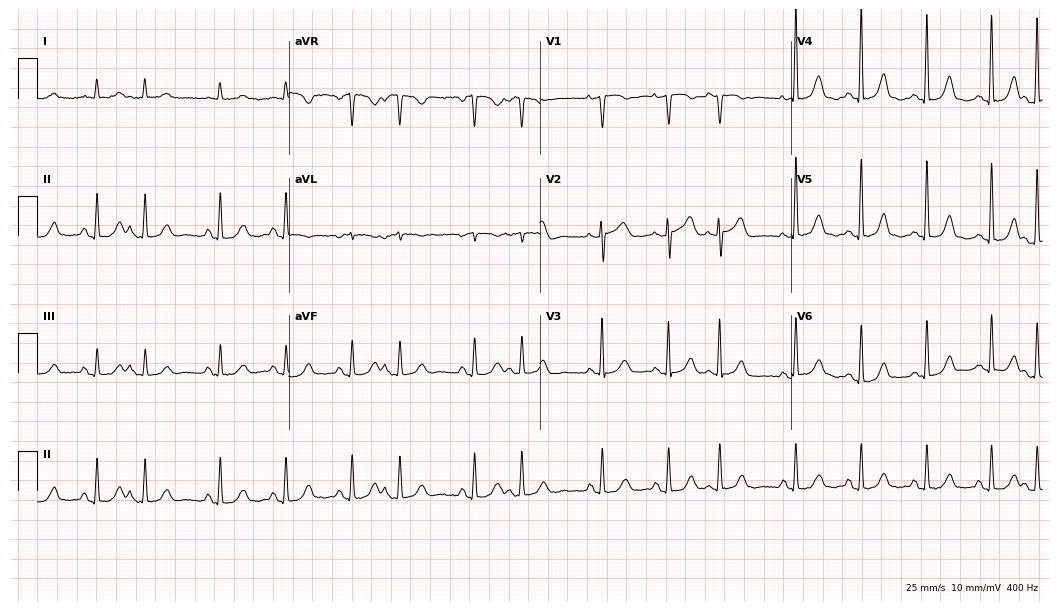
ECG (10.2-second recording at 400 Hz) — a female, 75 years old. Screened for six findings — first-degree AV block, right bundle branch block (RBBB), left bundle branch block (LBBB), sinus bradycardia, atrial fibrillation (AF), sinus tachycardia — none is recorded.